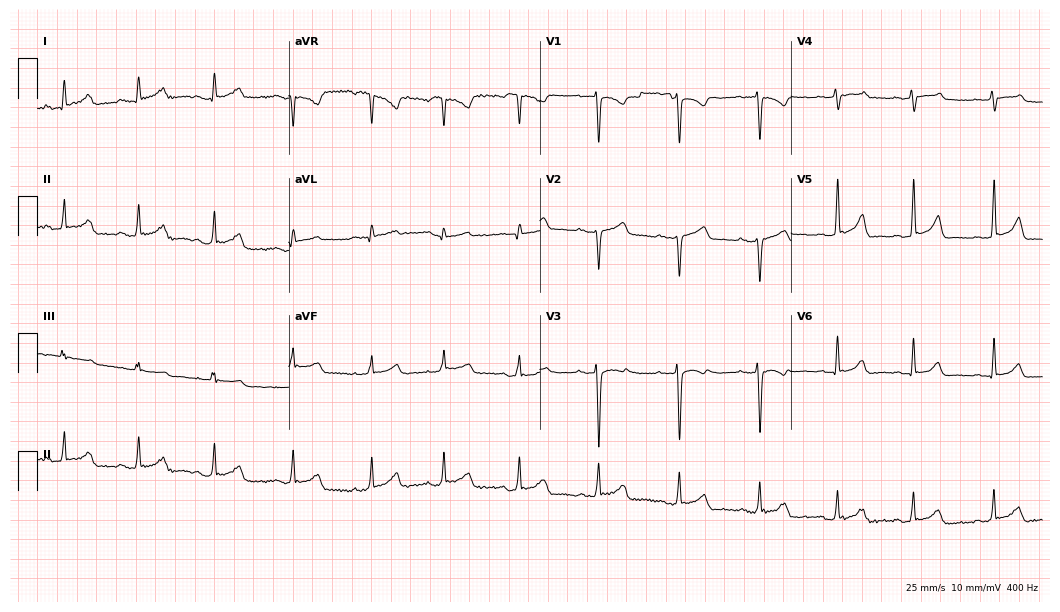
ECG (10.2-second recording at 400 Hz) — a 31-year-old female. Screened for six findings — first-degree AV block, right bundle branch block (RBBB), left bundle branch block (LBBB), sinus bradycardia, atrial fibrillation (AF), sinus tachycardia — none is recorded.